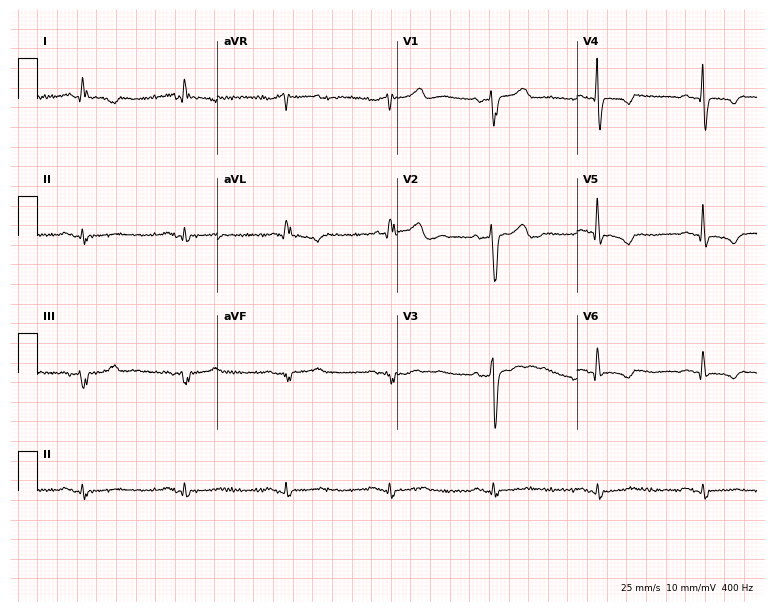
ECG — a male patient, 73 years old. Screened for six findings — first-degree AV block, right bundle branch block, left bundle branch block, sinus bradycardia, atrial fibrillation, sinus tachycardia — none is recorded.